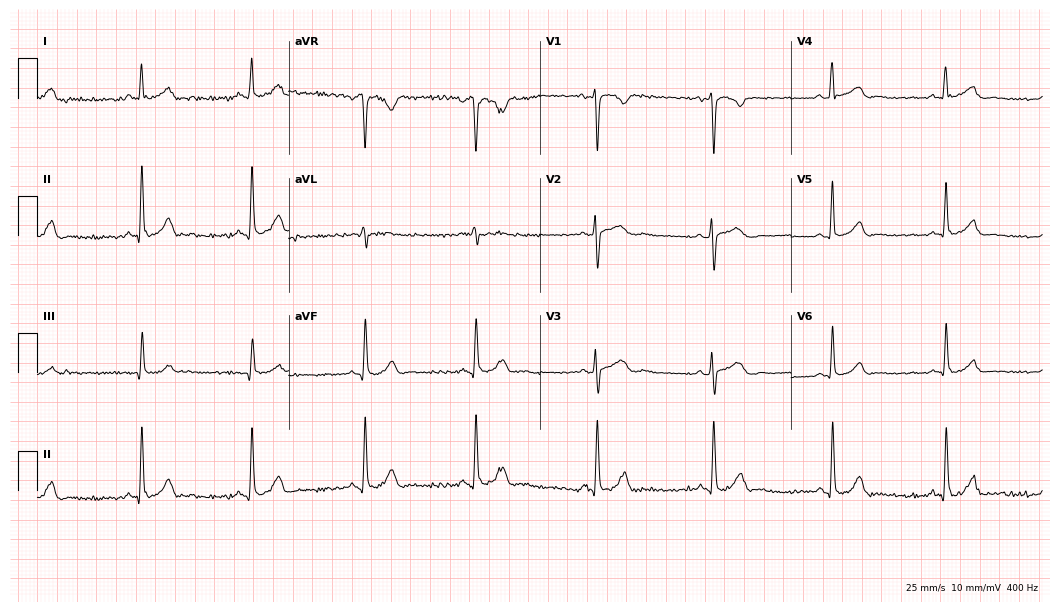
12-lead ECG from a woman, 24 years old. No first-degree AV block, right bundle branch block (RBBB), left bundle branch block (LBBB), sinus bradycardia, atrial fibrillation (AF) or sinus tachycardia recorded for this tracing.